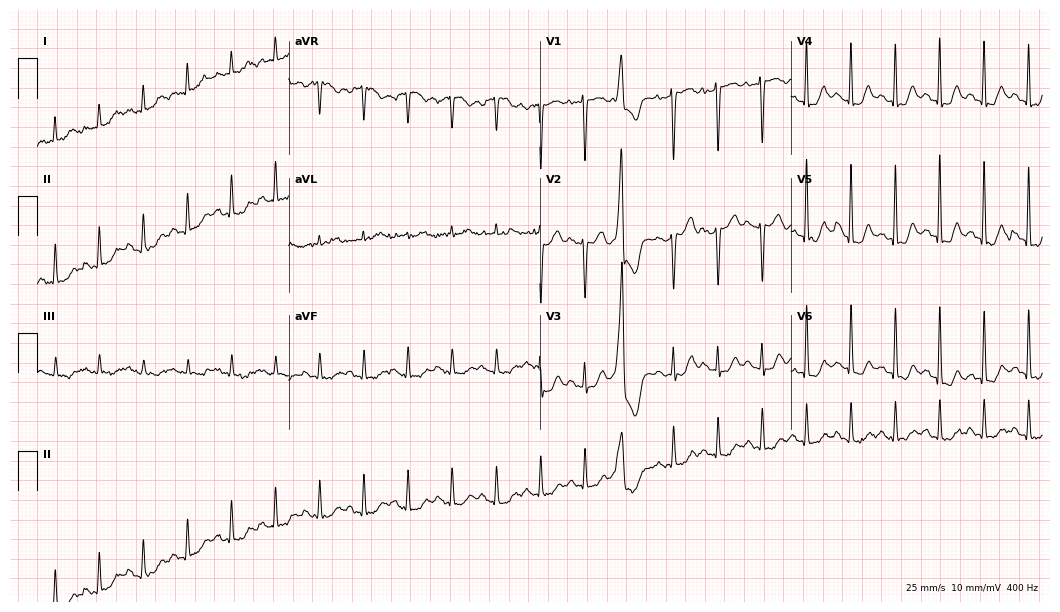
12-lead ECG from a 76-year-old woman. Findings include sinus tachycardia (a sinus rate of 100 beats per minute or more).